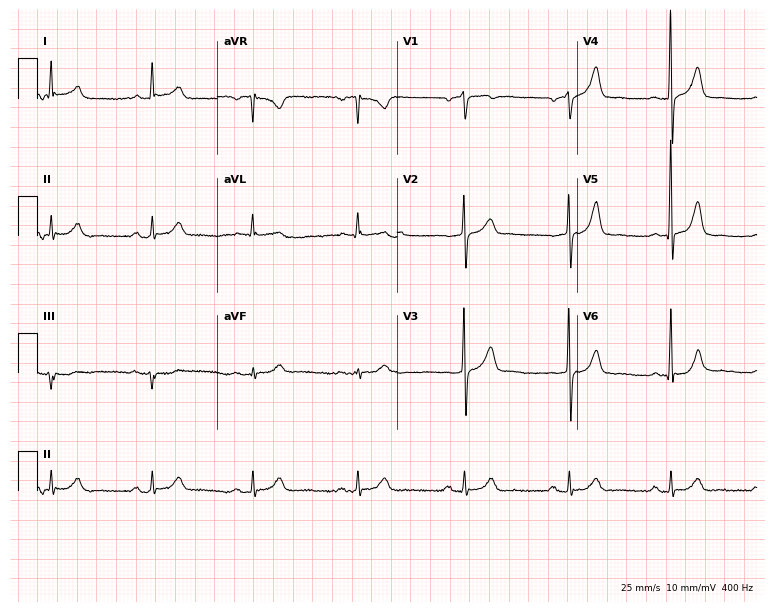
12-lead ECG from a 65-year-old male (7.3-second recording at 400 Hz). Recorded interpretation: within normal limits.